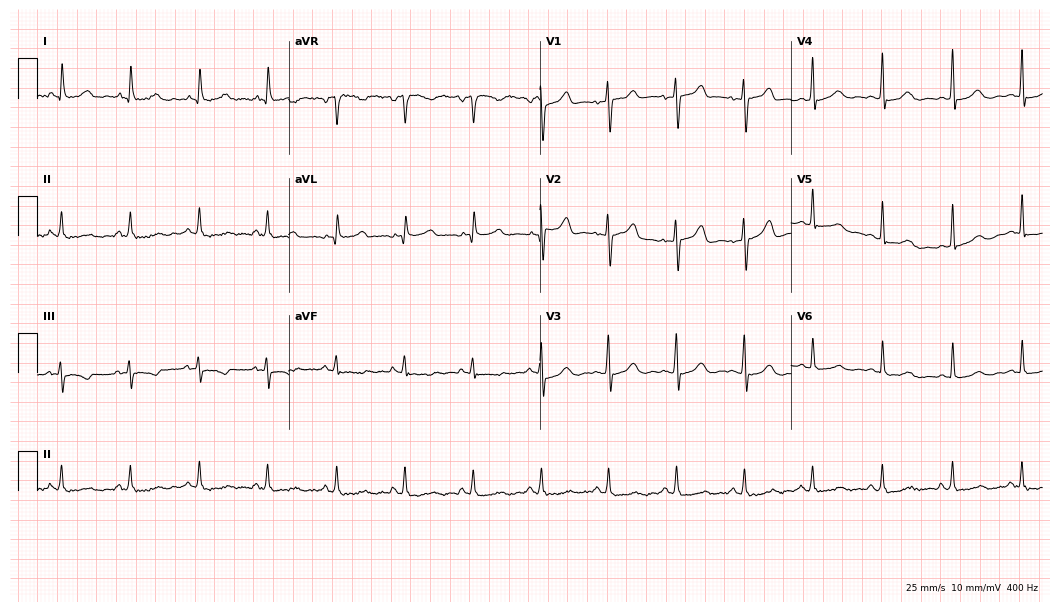
Standard 12-lead ECG recorded from a 66-year-old woman. None of these six findings is recorded: first-degree AV block, right bundle branch block, left bundle branch block, sinus bradycardia, atrial fibrillation, sinus tachycardia. Findings outside these six are not listed.